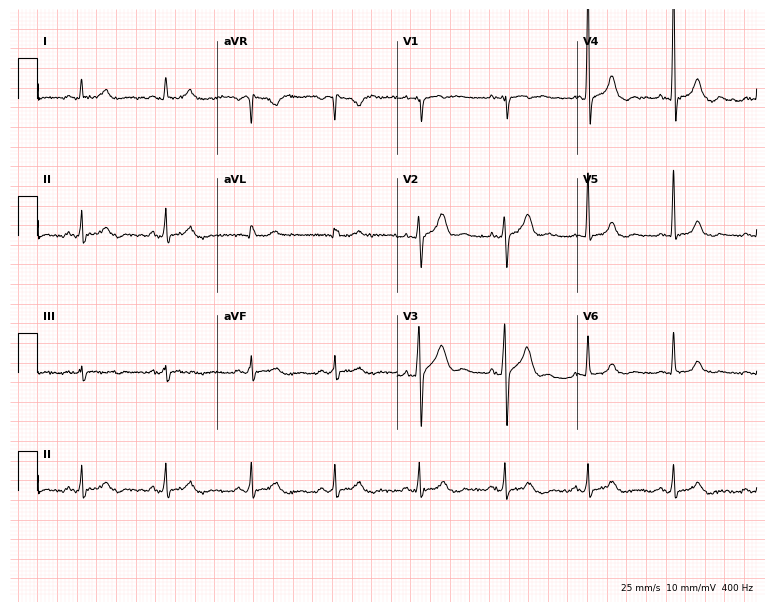
12-lead ECG (7.3-second recording at 400 Hz) from a male, 42 years old. Screened for six findings — first-degree AV block, right bundle branch block, left bundle branch block, sinus bradycardia, atrial fibrillation, sinus tachycardia — none is recorded.